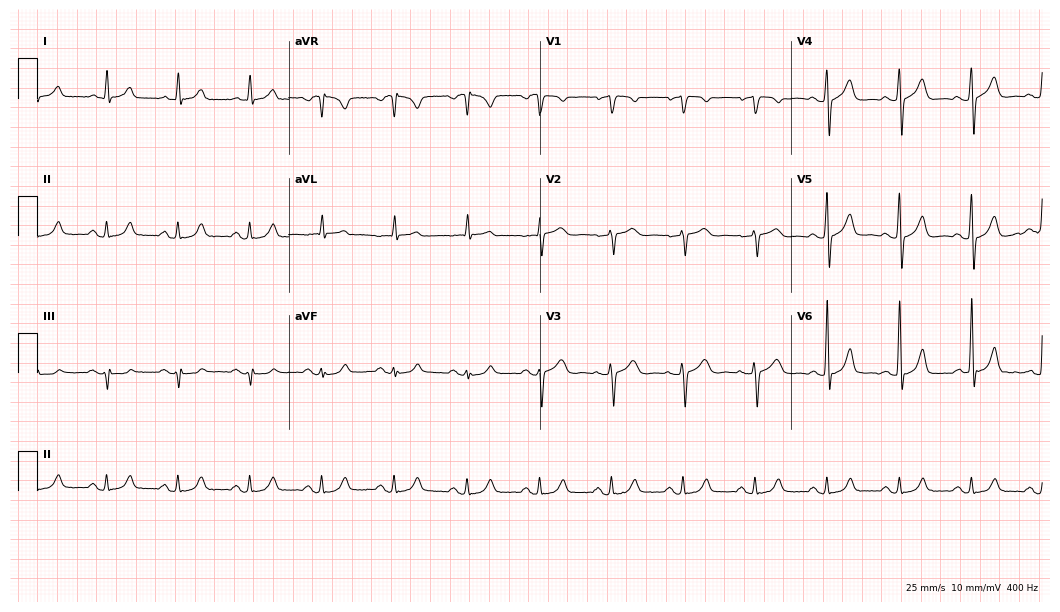
ECG — a man, 75 years old. Labelled as a normal ECG.